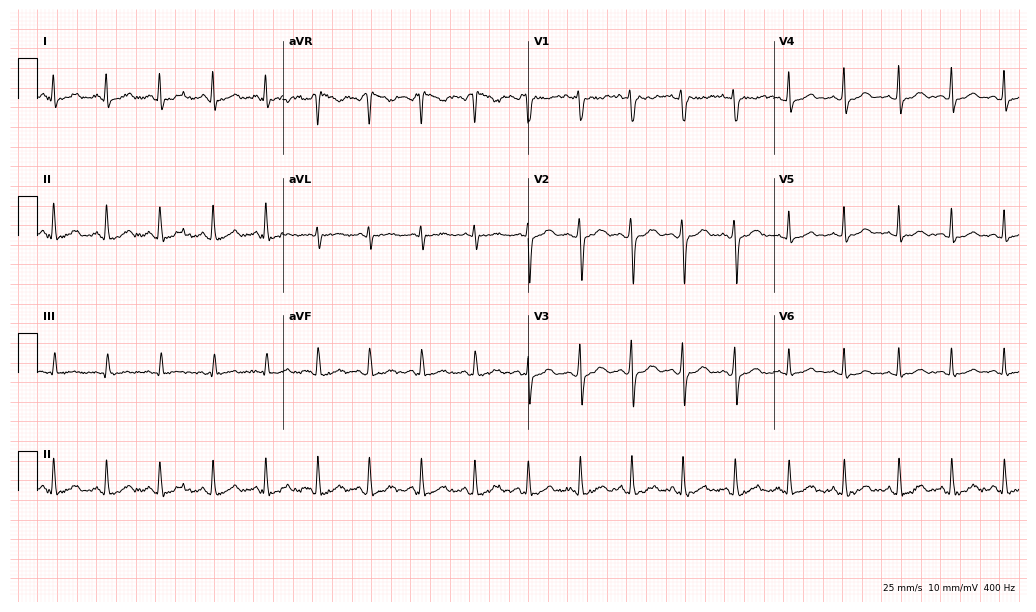
12-lead ECG from a female patient, 21 years old (10-second recording at 400 Hz). No first-degree AV block, right bundle branch block, left bundle branch block, sinus bradycardia, atrial fibrillation or sinus tachycardia recorded for this tracing.